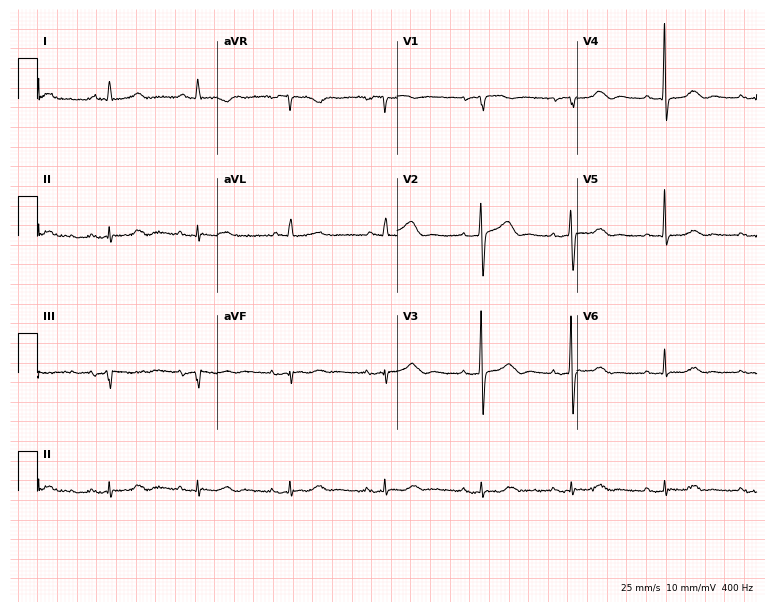
Electrocardiogram (7.3-second recording at 400 Hz), a woman, 80 years old. Overall reading on record: normal ECG.